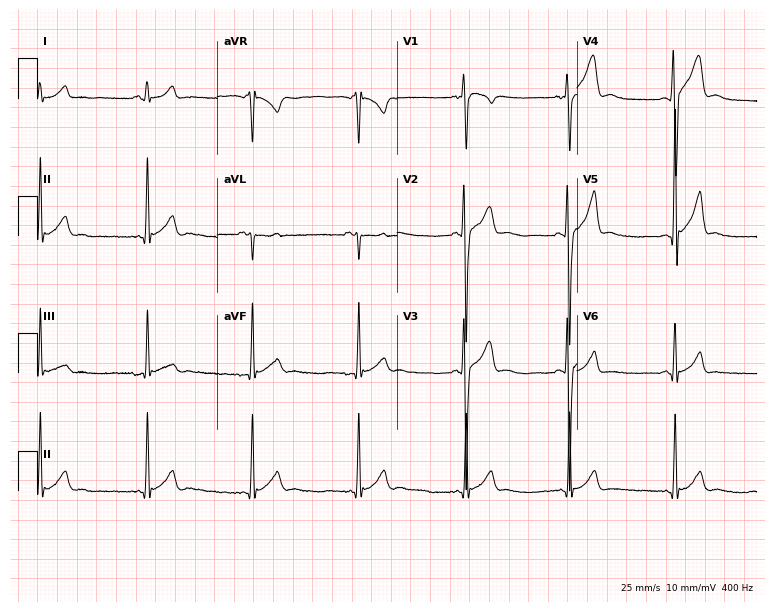
12-lead ECG (7.3-second recording at 400 Hz) from a 17-year-old male patient. Screened for six findings — first-degree AV block, right bundle branch block (RBBB), left bundle branch block (LBBB), sinus bradycardia, atrial fibrillation (AF), sinus tachycardia — none is recorded.